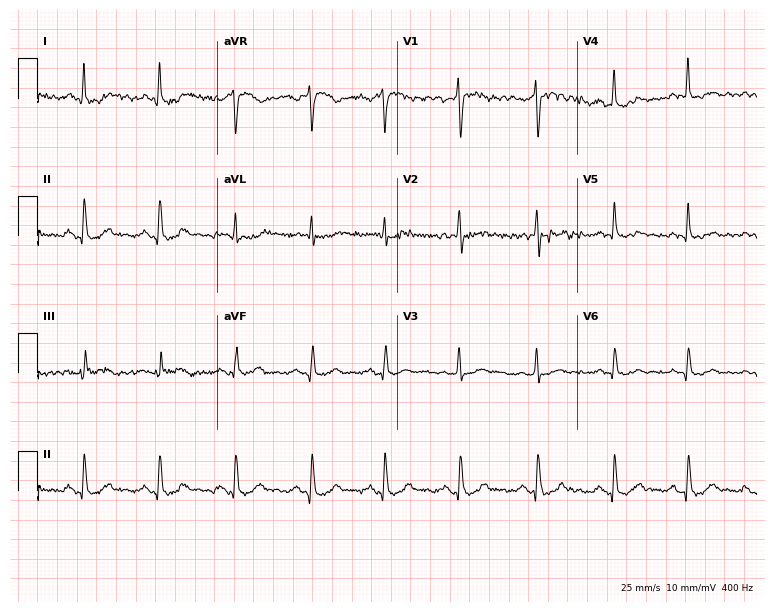
Resting 12-lead electrocardiogram (7.3-second recording at 400 Hz). Patient: a 47-year-old male. None of these six findings is recorded: first-degree AV block, right bundle branch block (RBBB), left bundle branch block (LBBB), sinus bradycardia, atrial fibrillation (AF), sinus tachycardia. Findings outside these six are not listed.